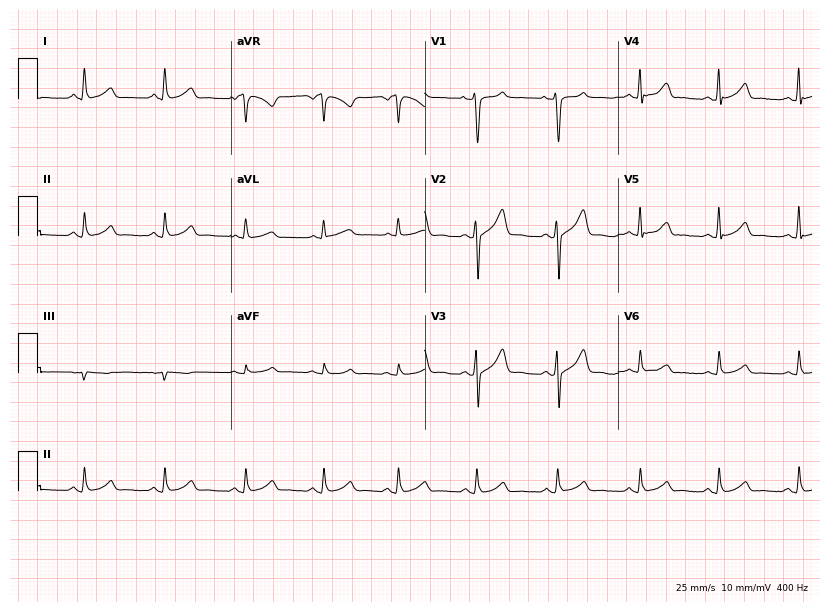
12-lead ECG from a 41-year-old man. Recorded interpretation: within normal limits.